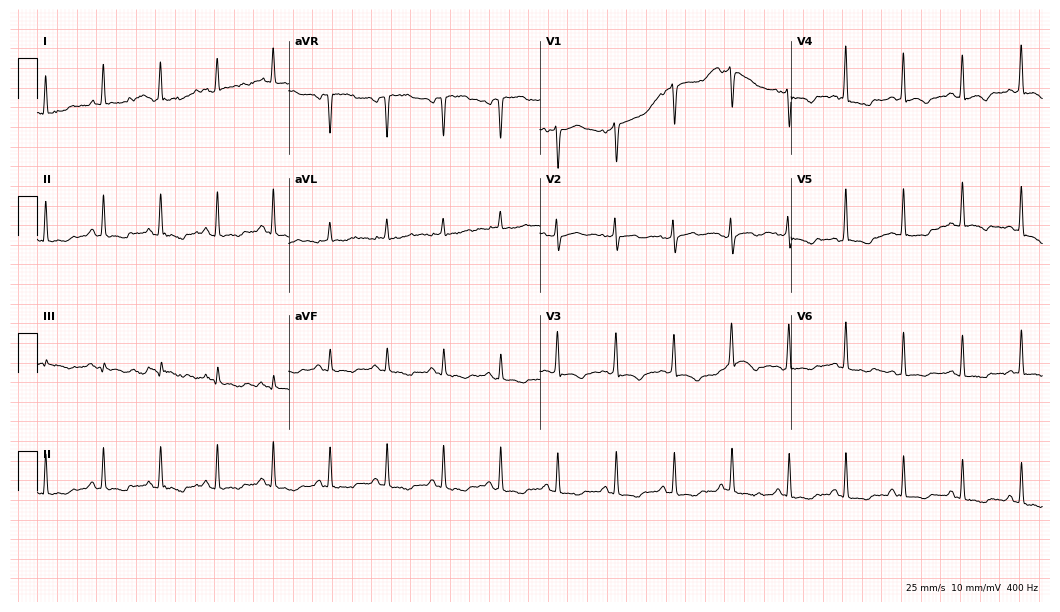
12-lead ECG (10.2-second recording at 400 Hz) from a 52-year-old female. Screened for six findings — first-degree AV block, right bundle branch block, left bundle branch block, sinus bradycardia, atrial fibrillation, sinus tachycardia — none is recorded. Findings outside these six are not listed.